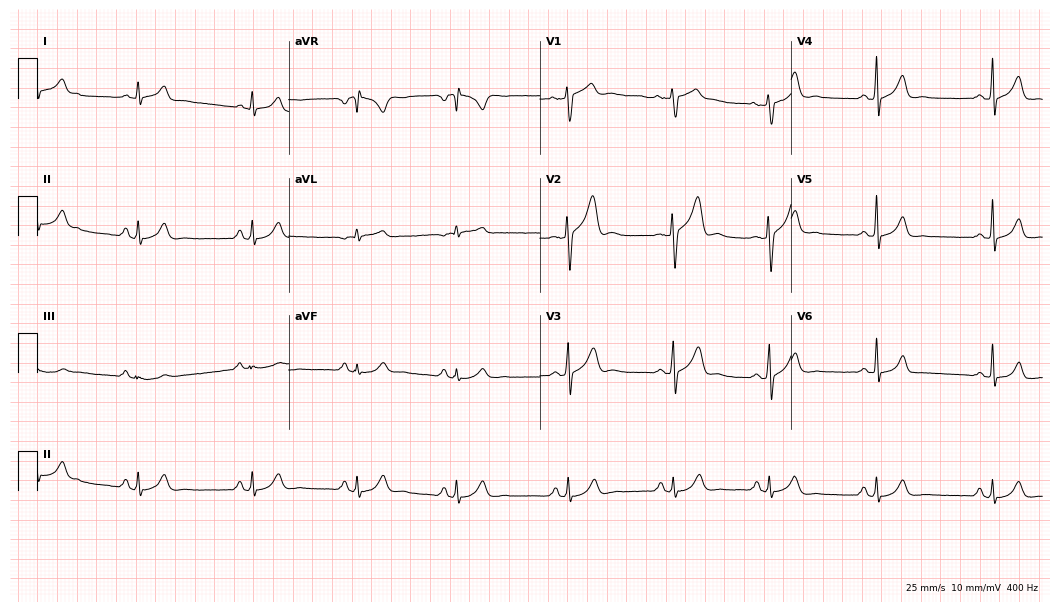
Electrocardiogram (10.2-second recording at 400 Hz), a male patient, 29 years old. Of the six screened findings (first-degree AV block, right bundle branch block (RBBB), left bundle branch block (LBBB), sinus bradycardia, atrial fibrillation (AF), sinus tachycardia), none is recorded. Findings outside these six are not listed.